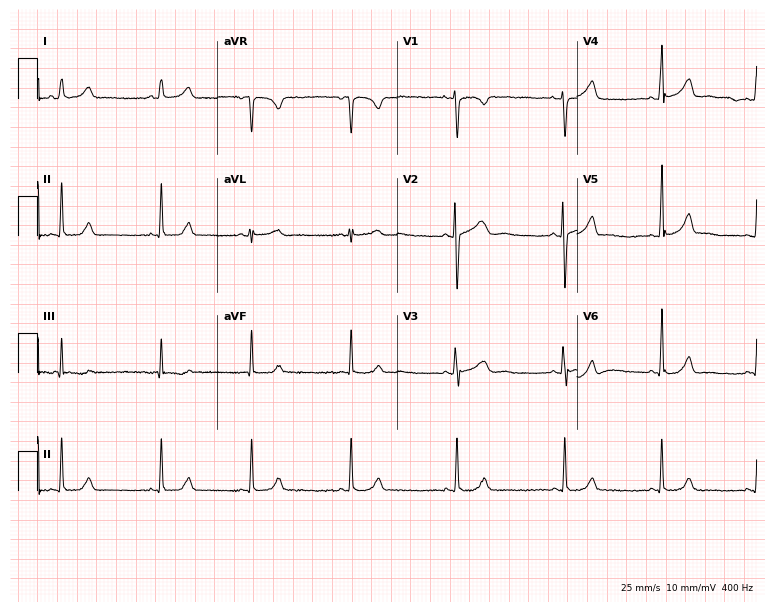
Standard 12-lead ECG recorded from a 25-year-old woman (7.3-second recording at 400 Hz). Read as a normal ECG.